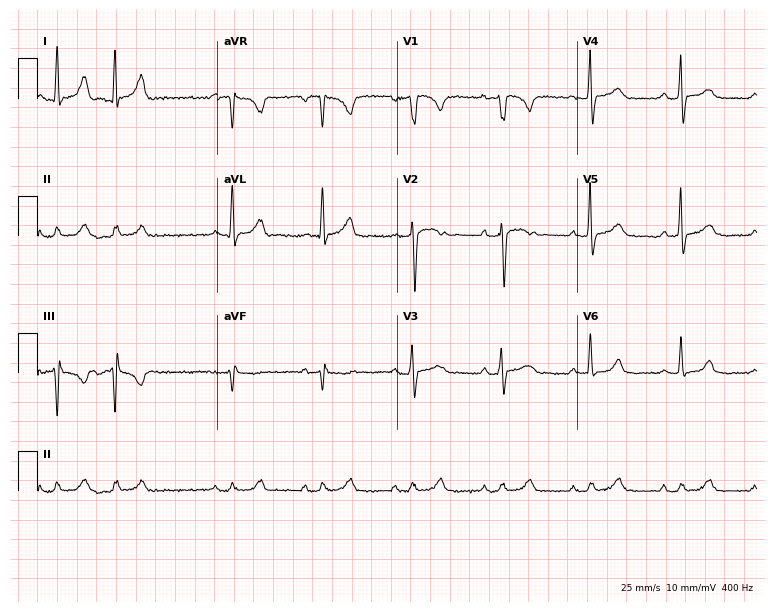
ECG (7.3-second recording at 400 Hz) — a man, 62 years old. Labelled as a normal ECG.